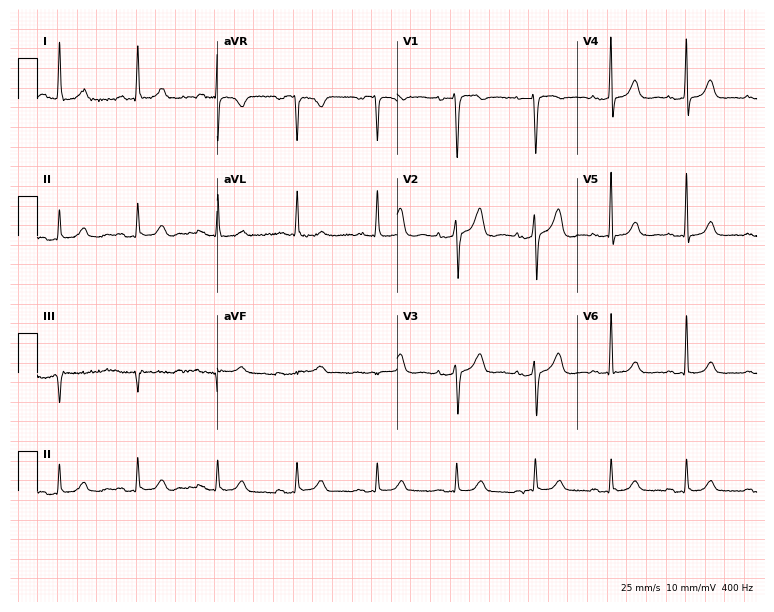
12-lead ECG from a 49-year-old female (7.3-second recording at 400 Hz). Recorded interpretation: within normal limits.